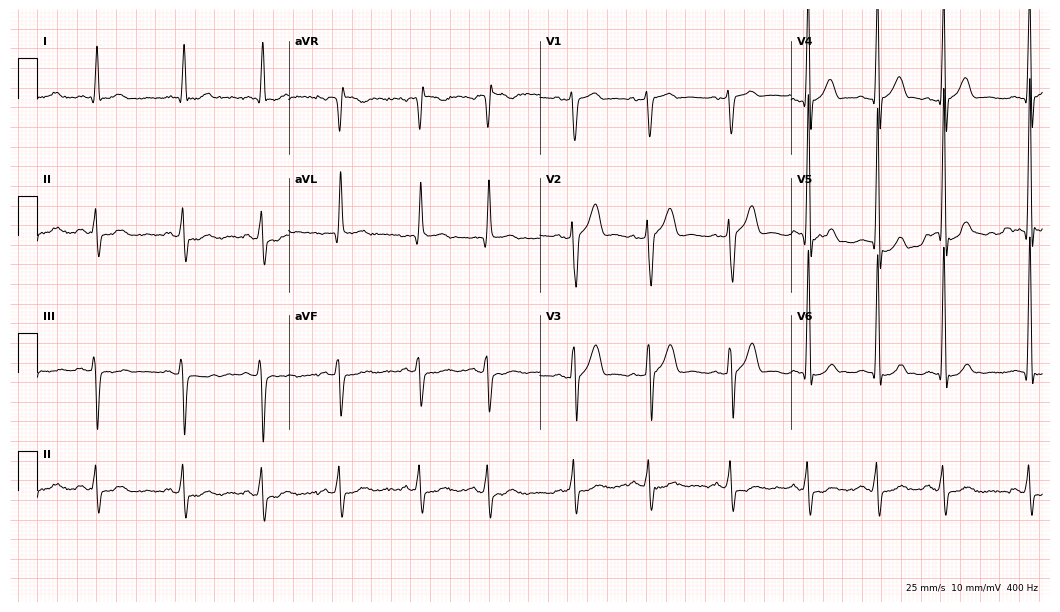
12-lead ECG from a 68-year-old male. Screened for six findings — first-degree AV block, right bundle branch block, left bundle branch block, sinus bradycardia, atrial fibrillation, sinus tachycardia — none is recorded. Only these six findings were labelled.